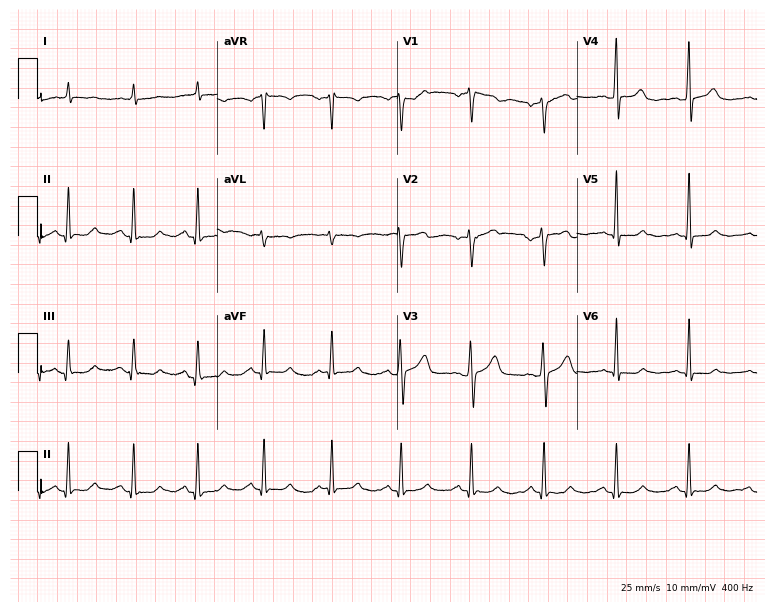
ECG — a male patient, 71 years old. Screened for six findings — first-degree AV block, right bundle branch block, left bundle branch block, sinus bradycardia, atrial fibrillation, sinus tachycardia — none is recorded.